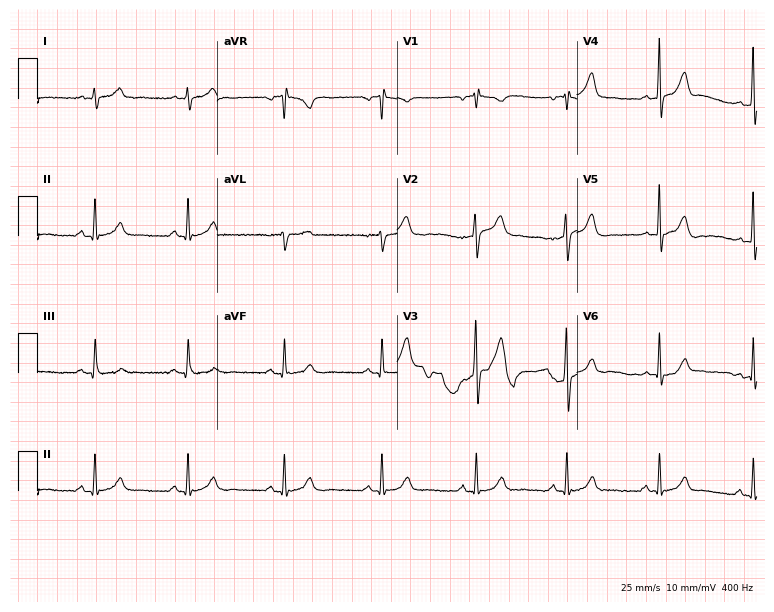
ECG (7.3-second recording at 400 Hz) — a 50-year-old man. Labelled as a normal ECG.